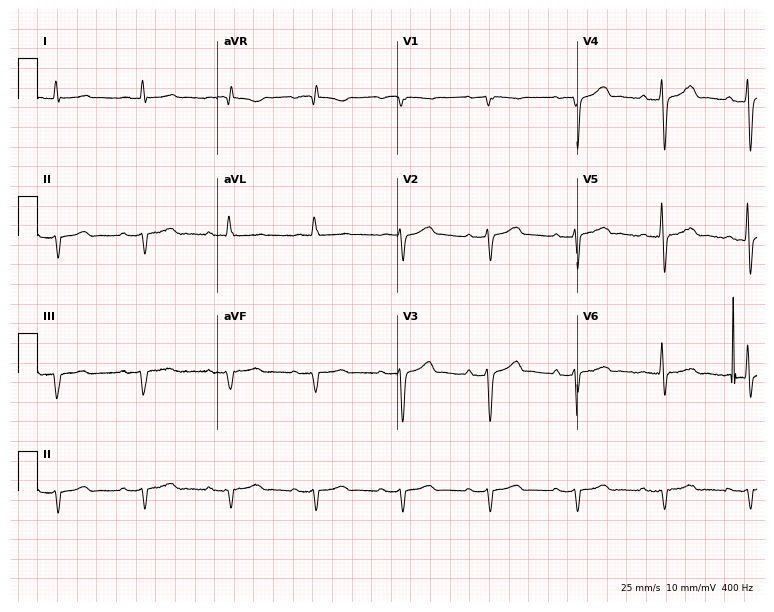
Standard 12-lead ECG recorded from a male, 83 years old (7.3-second recording at 400 Hz). None of these six findings is recorded: first-degree AV block, right bundle branch block, left bundle branch block, sinus bradycardia, atrial fibrillation, sinus tachycardia.